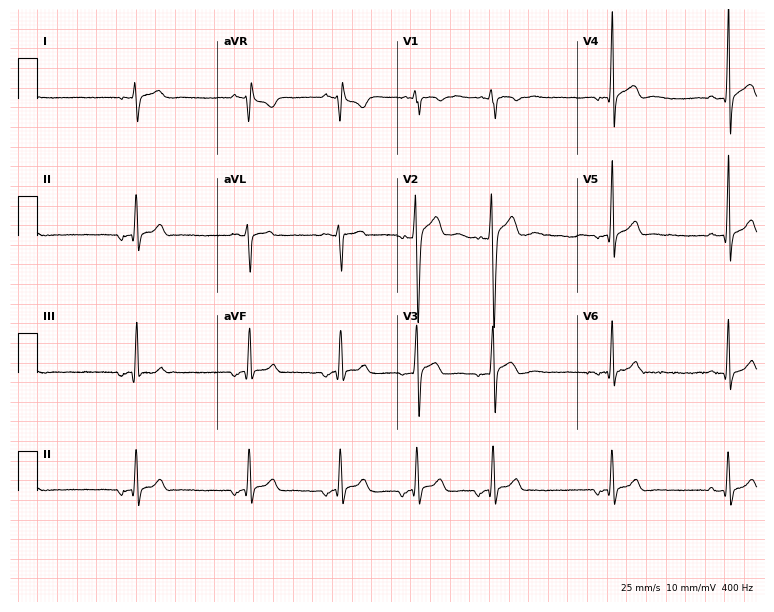
12-lead ECG from a man, 22 years old (7.3-second recording at 400 Hz). No first-degree AV block, right bundle branch block (RBBB), left bundle branch block (LBBB), sinus bradycardia, atrial fibrillation (AF) or sinus tachycardia recorded for this tracing.